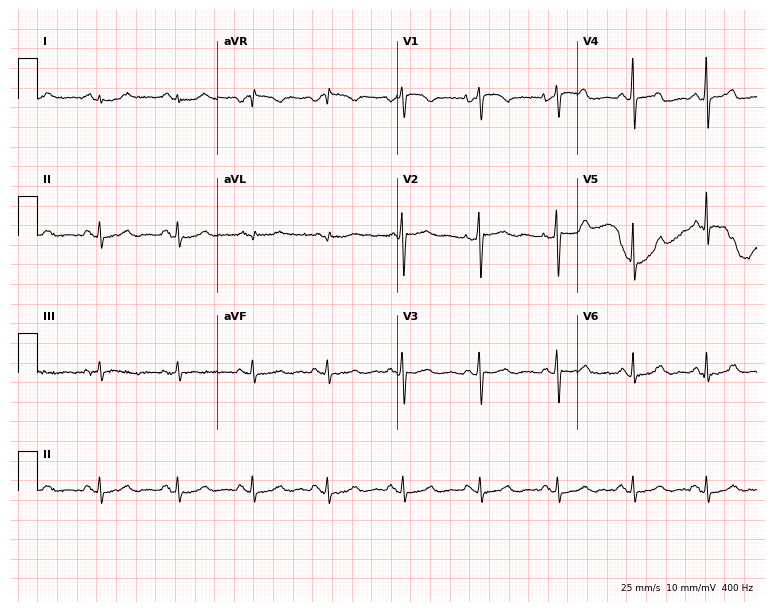
Electrocardiogram, a 63-year-old female patient. Of the six screened findings (first-degree AV block, right bundle branch block, left bundle branch block, sinus bradycardia, atrial fibrillation, sinus tachycardia), none is recorded. Only these six findings were labelled.